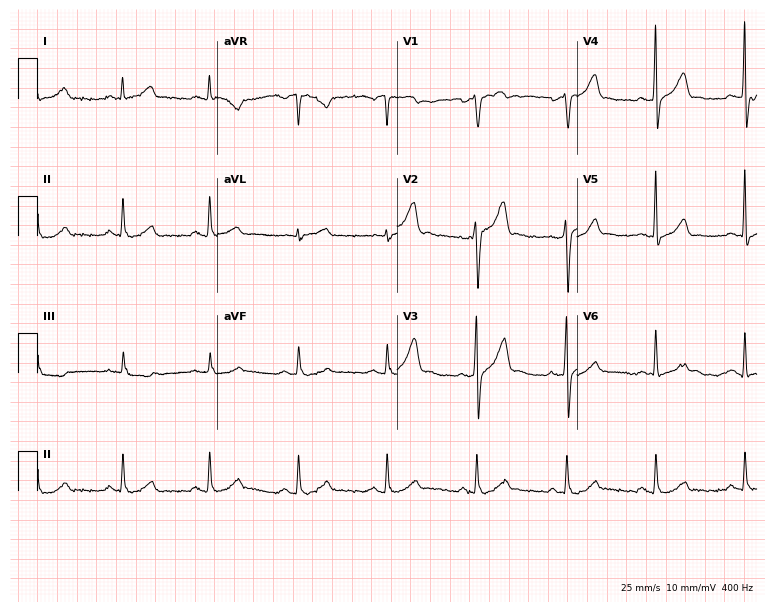
12-lead ECG from a 51-year-old man. No first-degree AV block, right bundle branch block, left bundle branch block, sinus bradycardia, atrial fibrillation or sinus tachycardia recorded for this tracing. Only these six findings were labelled.